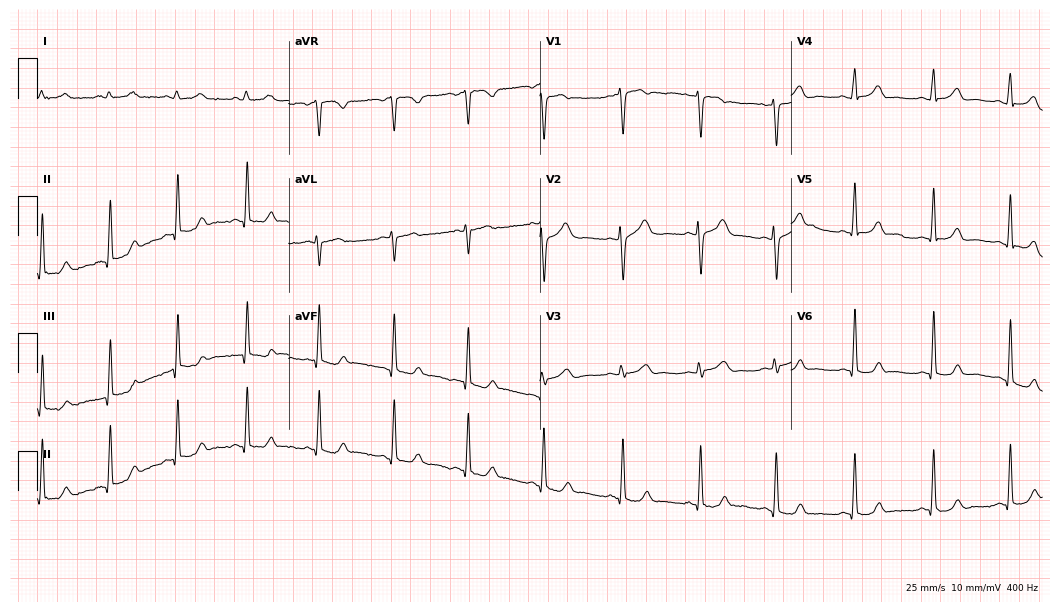
12-lead ECG from a 29-year-old female patient. Recorded interpretation: within normal limits.